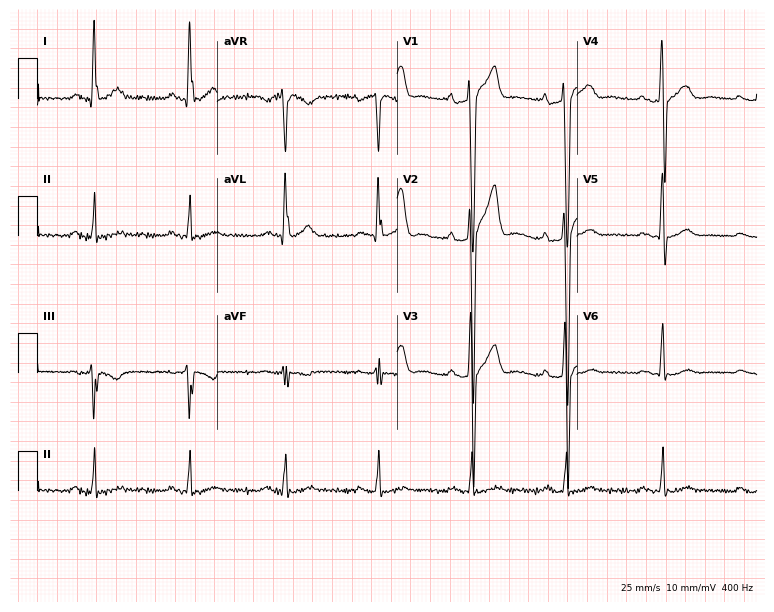
Electrocardiogram, a 47-year-old male patient. Of the six screened findings (first-degree AV block, right bundle branch block (RBBB), left bundle branch block (LBBB), sinus bradycardia, atrial fibrillation (AF), sinus tachycardia), none is recorded. Other findings, if any, are not listed.